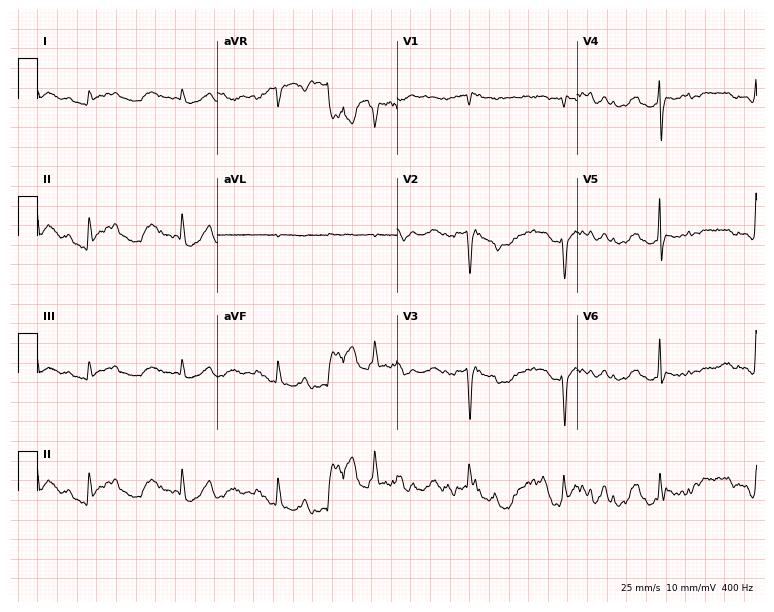
Electrocardiogram, a female patient, 70 years old. Of the six screened findings (first-degree AV block, right bundle branch block, left bundle branch block, sinus bradycardia, atrial fibrillation, sinus tachycardia), none is recorded.